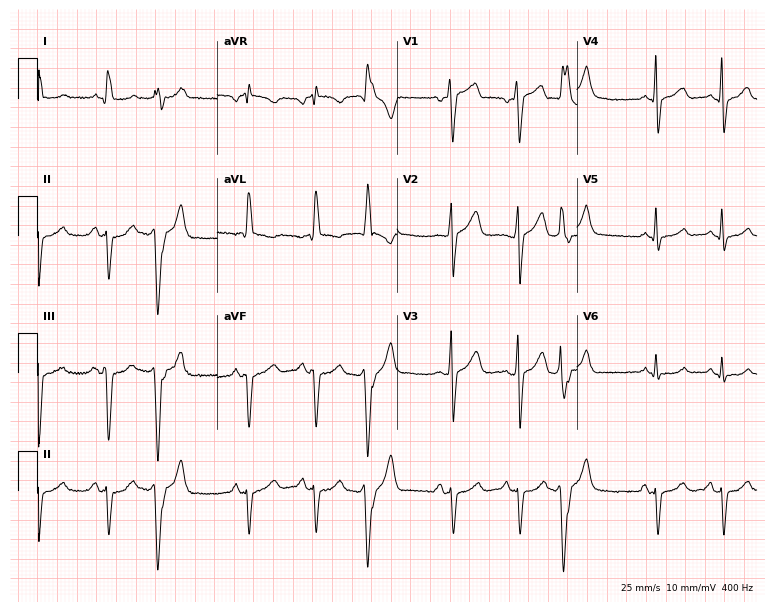
Standard 12-lead ECG recorded from a man, 59 years old. None of these six findings is recorded: first-degree AV block, right bundle branch block (RBBB), left bundle branch block (LBBB), sinus bradycardia, atrial fibrillation (AF), sinus tachycardia.